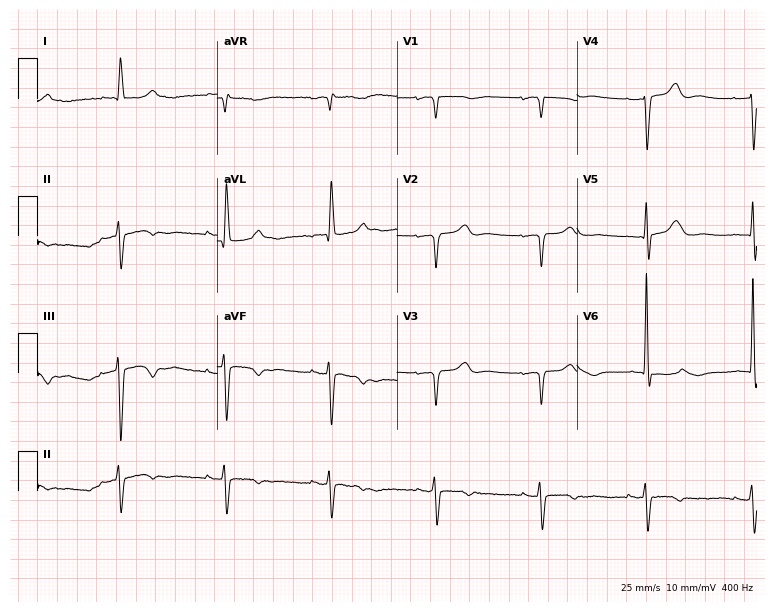
Resting 12-lead electrocardiogram (7.3-second recording at 400 Hz). Patient: a female, 80 years old. None of these six findings is recorded: first-degree AV block, right bundle branch block, left bundle branch block, sinus bradycardia, atrial fibrillation, sinus tachycardia.